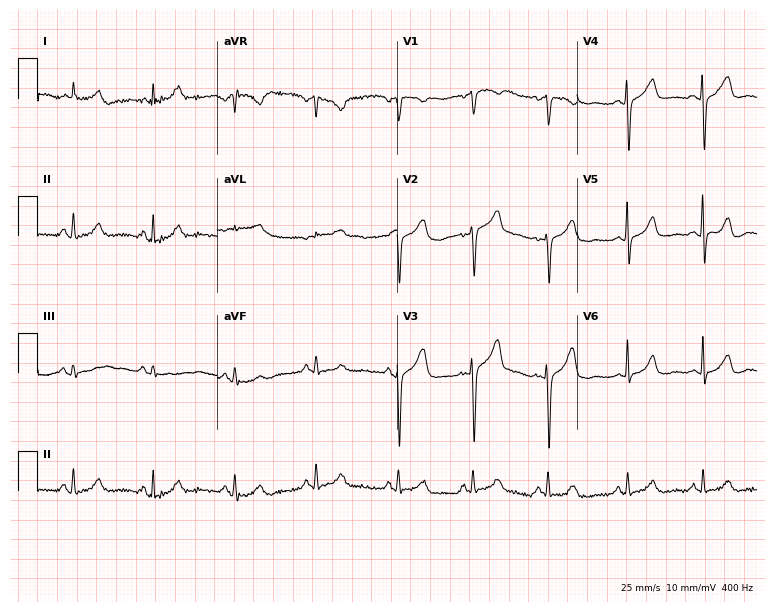
Resting 12-lead electrocardiogram (7.3-second recording at 400 Hz). Patient: a female, 37 years old. None of these six findings is recorded: first-degree AV block, right bundle branch block, left bundle branch block, sinus bradycardia, atrial fibrillation, sinus tachycardia. Findings outside these six are not listed.